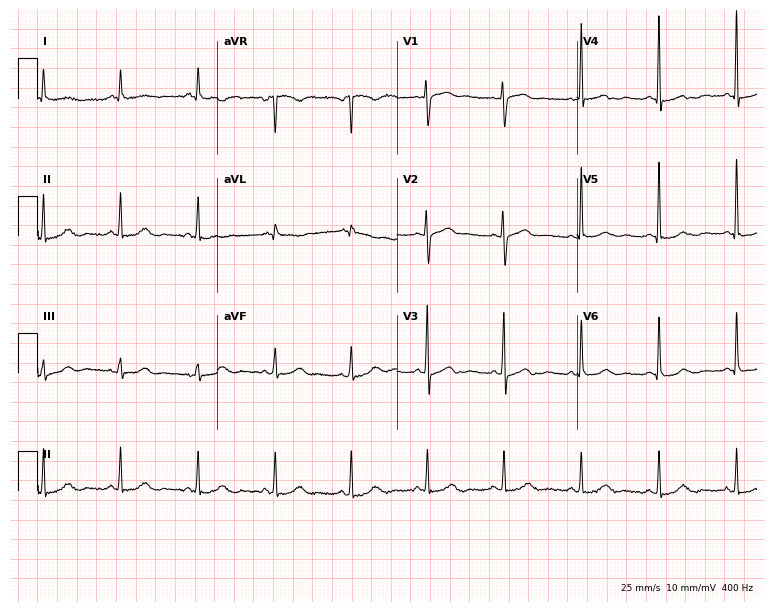
12-lead ECG (7.3-second recording at 400 Hz) from a woman, 64 years old. Screened for six findings — first-degree AV block, right bundle branch block, left bundle branch block, sinus bradycardia, atrial fibrillation, sinus tachycardia — none is recorded.